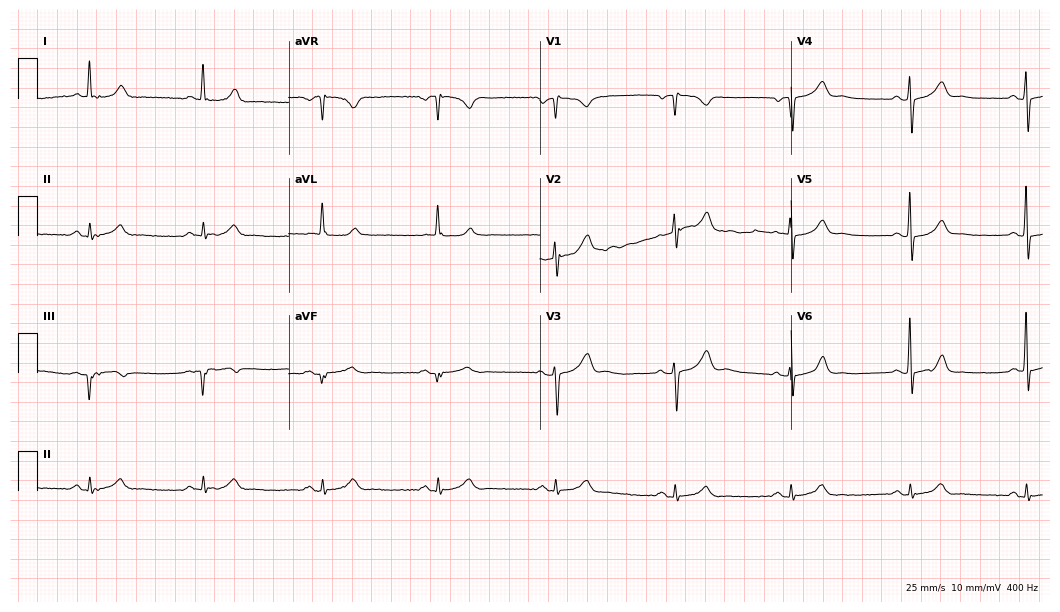
Electrocardiogram, a 65-year-old male. Of the six screened findings (first-degree AV block, right bundle branch block (RBBB), left bundle branch block (LBBB), sinus bradycardia, atrial fibrillation (AF), sinus tachycardia), none is recorded. Other findings, if any, are not listed.